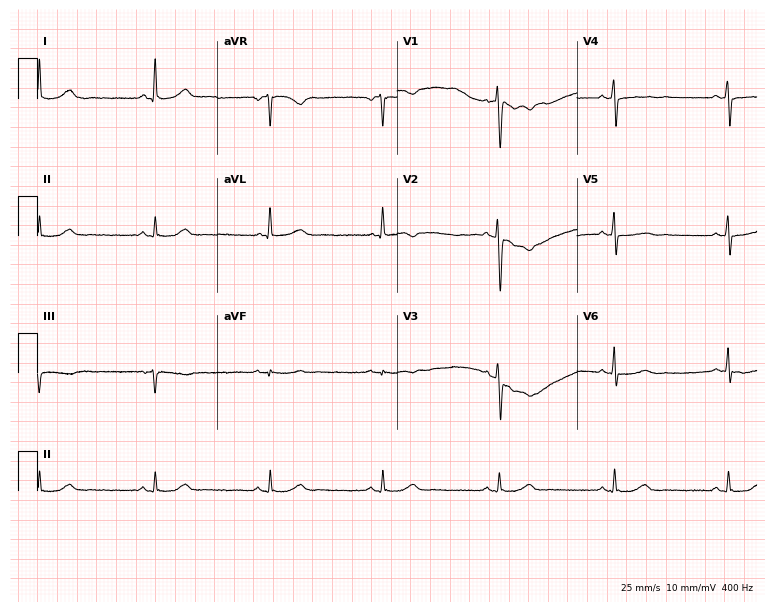
Standard 12-lead ECG recorded from a female patient, 51 years old (7.3-second recording at 400 Hz). None of these six findings is recorded: first-degree AV block, right bundle branch block, left bundle branch block, sinus bradycardia, atrial fibrillation, sinus tachycardia.